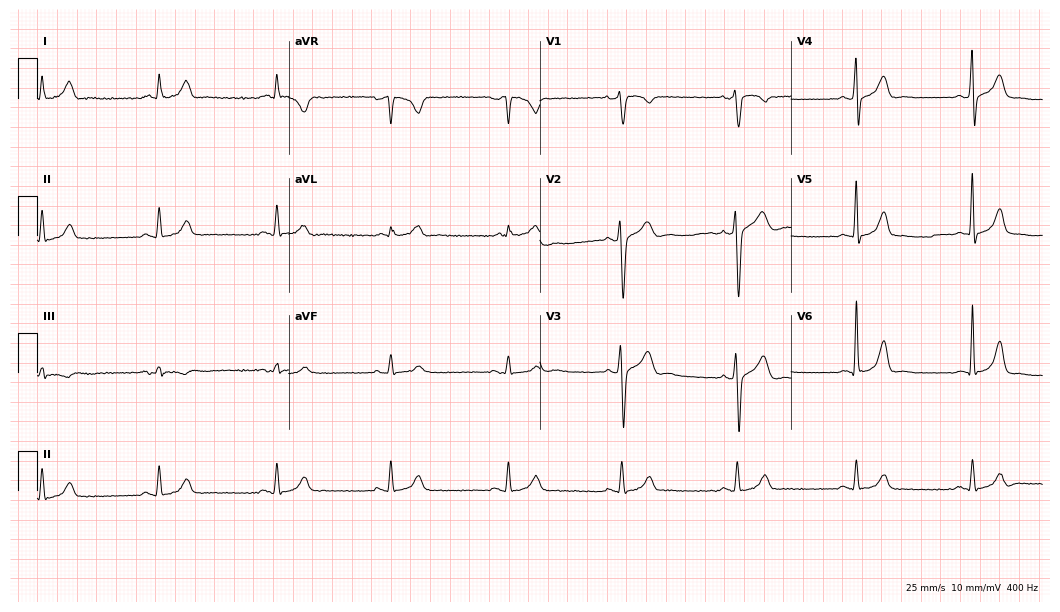
12-lead ECG (10.2-second recording at 400 Hz) from a man, 43 years old. Findings include sinus bradycardia (a sinus rate of 50 beats per minute or less).